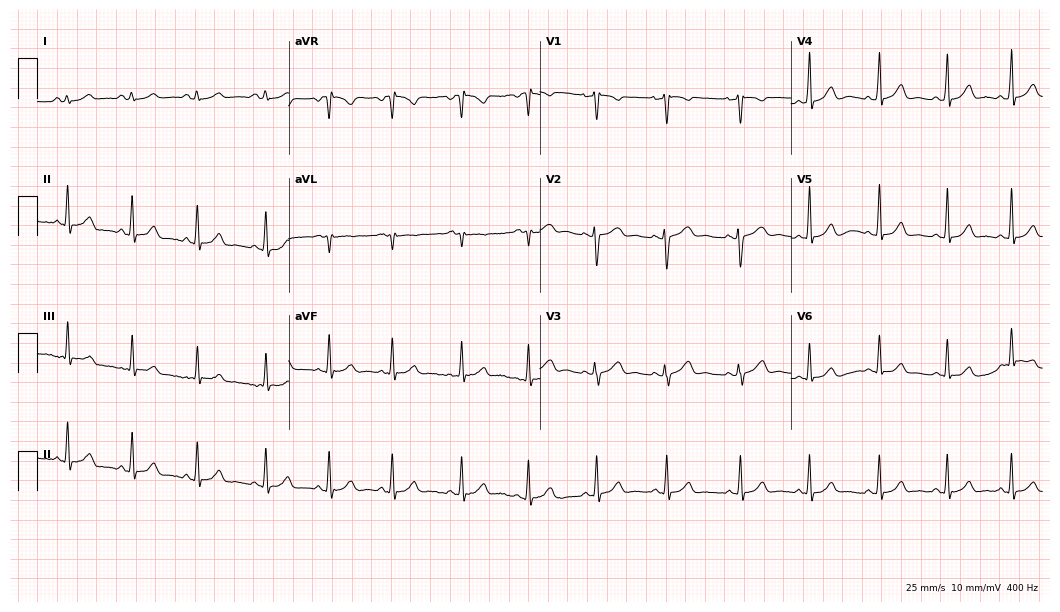
Standard 12-lead ECG recorded from a female patient, 18 years old. Read as a normal ECG.